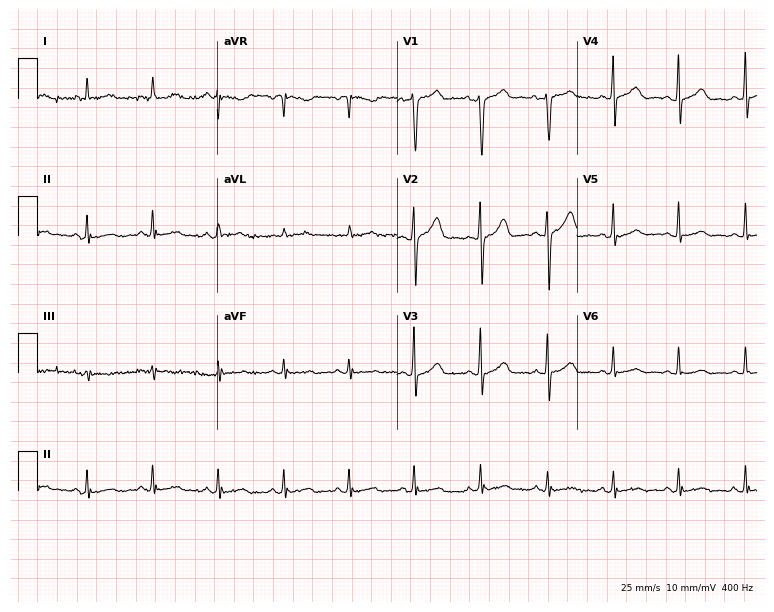
12-lead ECG from a 77-year-old man. Screened for six findings — first-degree AV block, right bundle branch block (RBBB), left bundle branch block (LBBB), sinus bradycardia, atrial fibrillation (AF), sinus tachycardia — none is recorded.